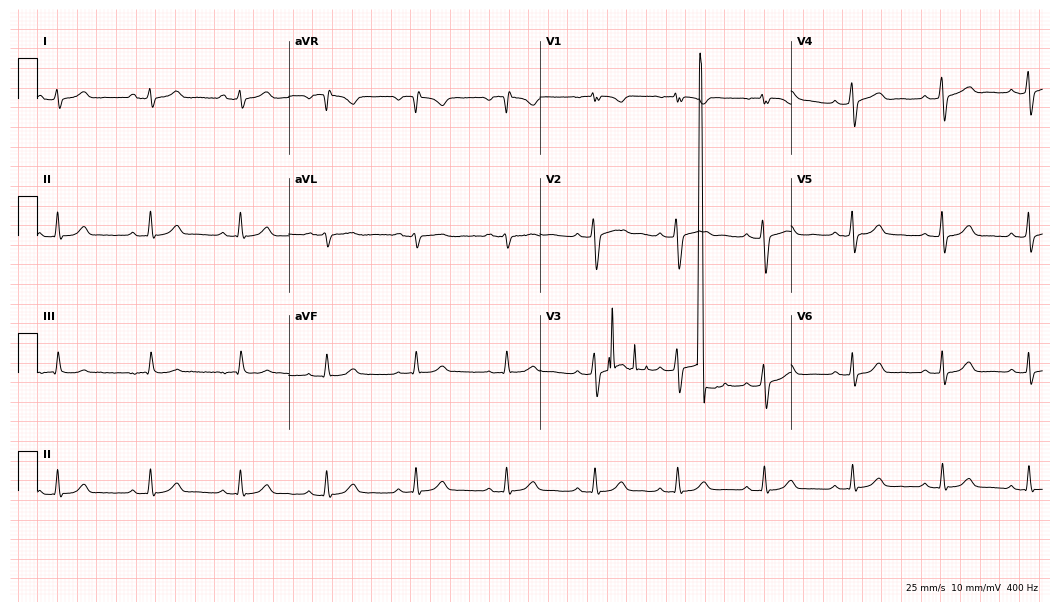
12-lead ECG (10.2-second recording at 400 Hz) from a 22-year-old female patient. Labelled as a normal ECG.